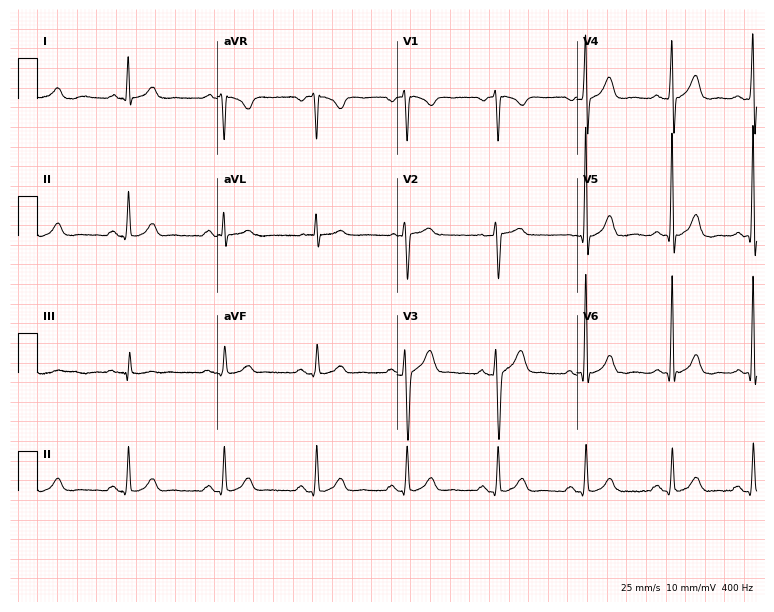
Resting 12-lead electrocardiogram (7.3-second recording at 400 Hz). Patient: a male, 48 years old. Read as a normal ECG.